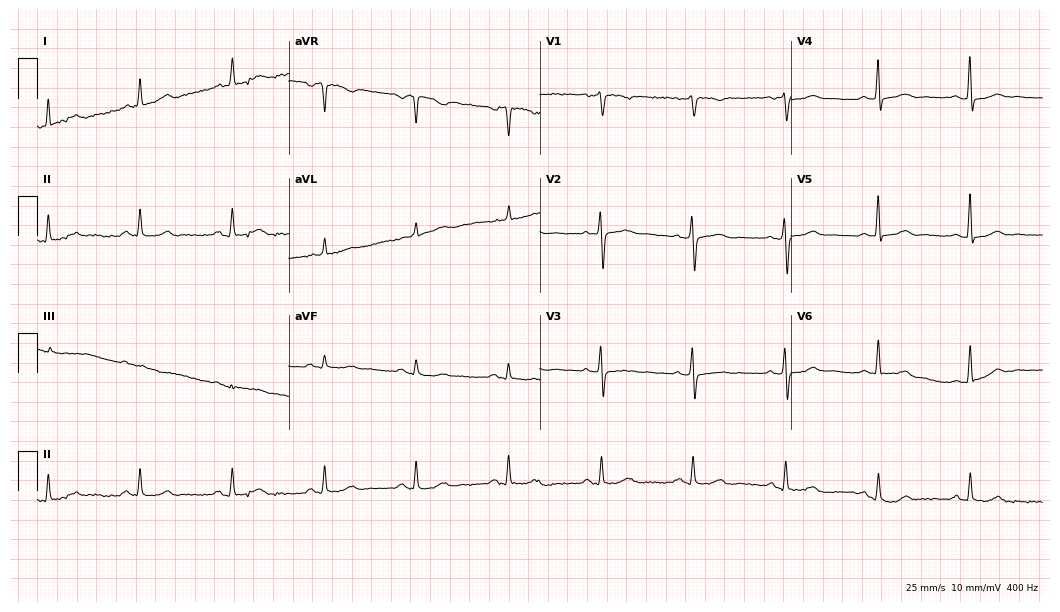
ECG — an 80-year-old woman. Screened for six findings — first-degree AV block, right bundle branch block (RBBB), left bundle branch block (LBBB), sinus bradycardia, atrial fibrillation (AF), sinus tachycardia — none is recorded. Only these six findings were labelled.